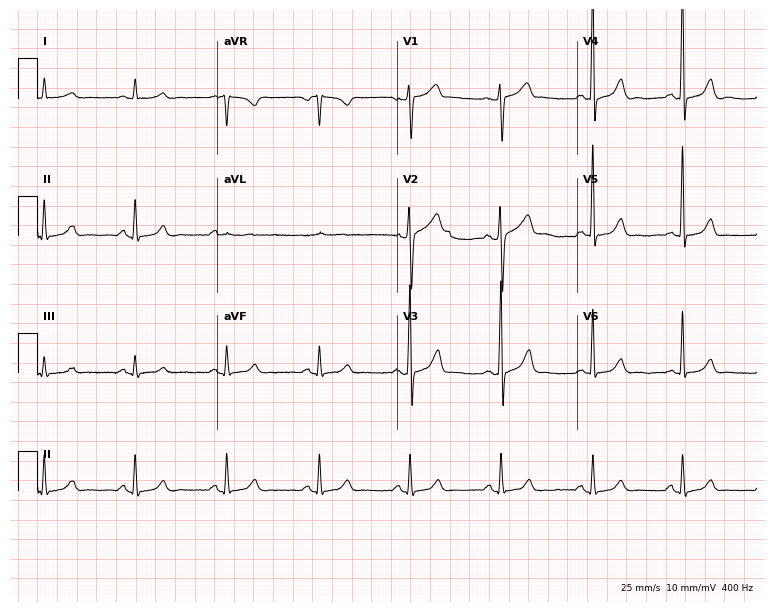
12-lead ECG from a male, 67 years old (7.3-second recording at 400 Hz). Recorded interpretation: within normal limits.